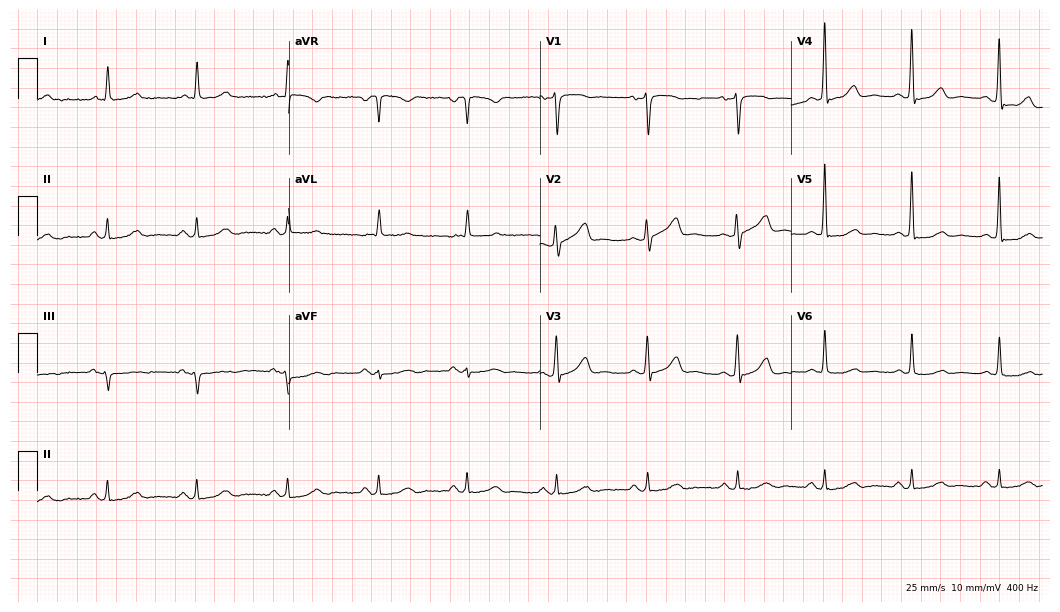
12-lead ECG from a 66-year-old male patient. No first-degree AV block, right bundle branch block (RBBB), left bundle branch block (LBBB), sinus bradycardia, atrial fibrillation (AF) or sinus tachycardia recorded for this tracing.